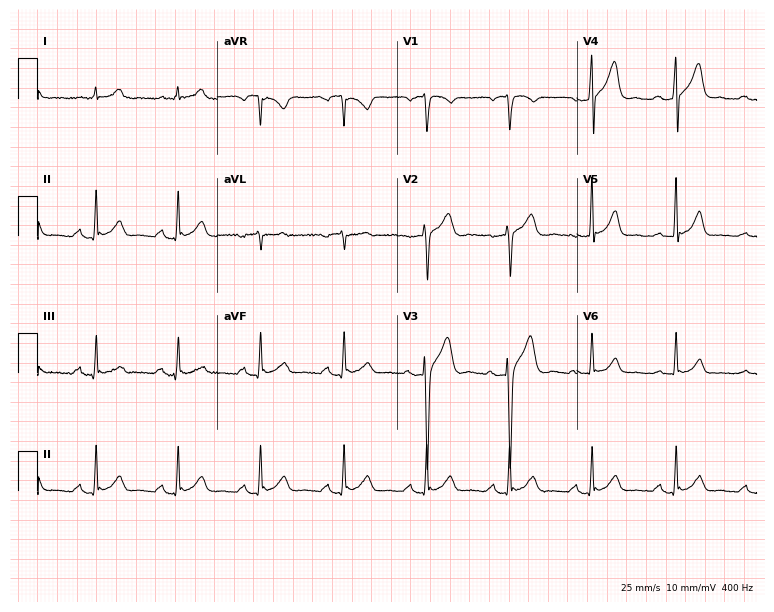
12-lead ECG from a 35-year-old male. Recorded interpretation: within normal limits.